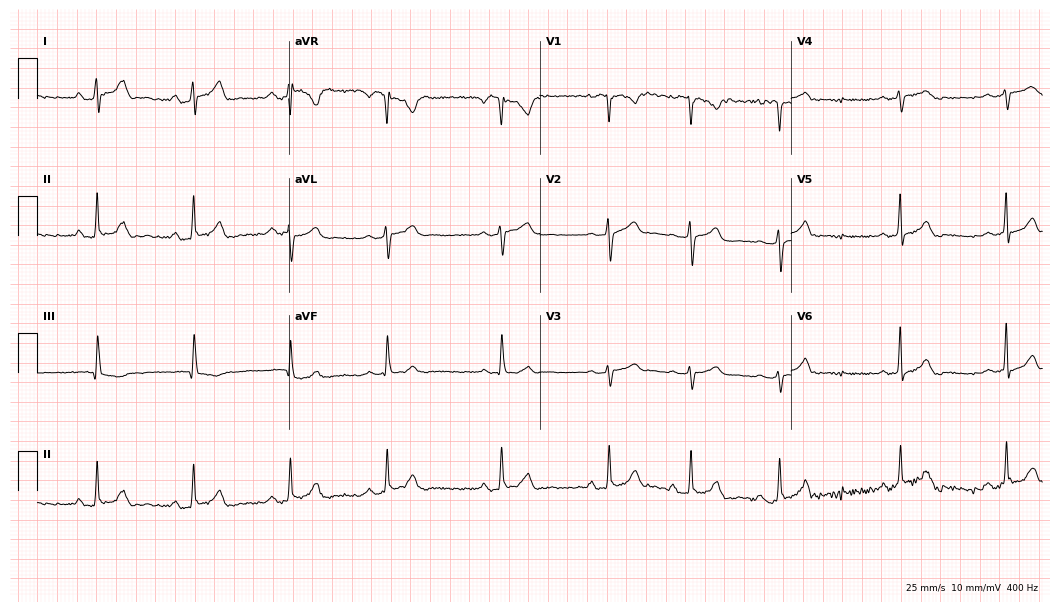
Resting 12-lead electrocardiogram. Patient: an 18-year-old woman. Read as a normal ECG.